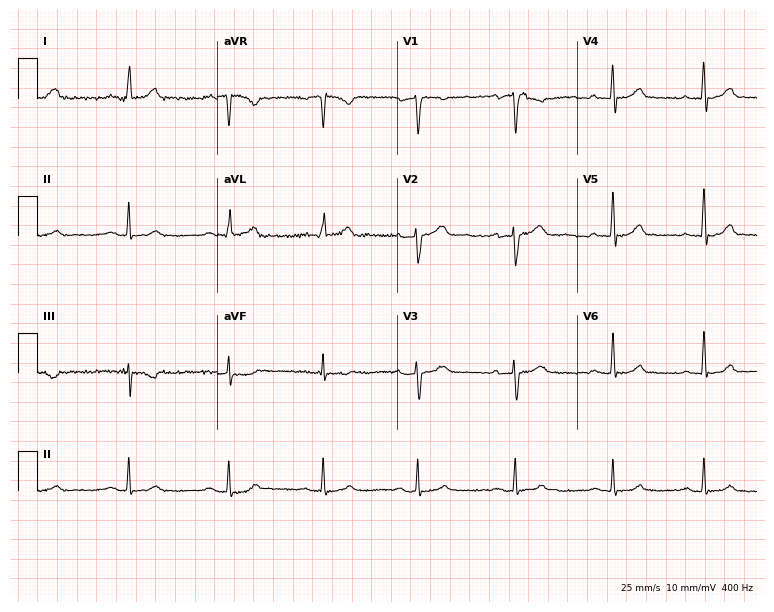
12-lead ECG from a female, 57 years old (7.3-second recording at 400 Hz). No first-degree AV block, right bundle branch block, left bundle branch block, sinus bradycardia, atrial fibrillation or sinus tachycardia recorded for this tracing.